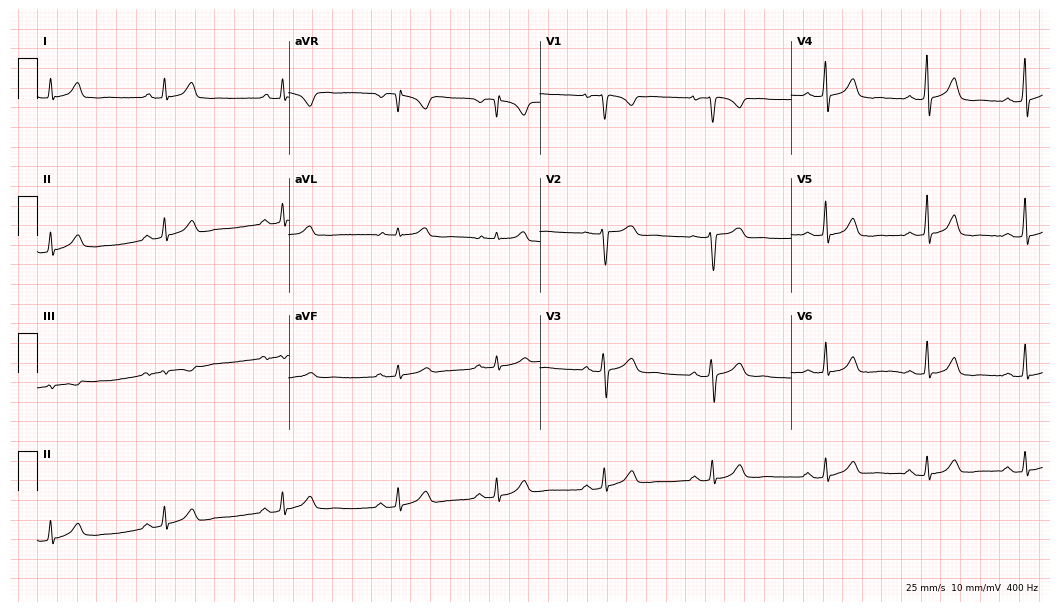
Standard 12-lead ECG recorded from a female, 42 years old (10.2-second recording at 400 Hz). None of these six findings is recorded: first-degree AV block, right bundle branch block, left bundle branch block, sinus bradycardia, atrial fibrillation, sinus tachycardia.